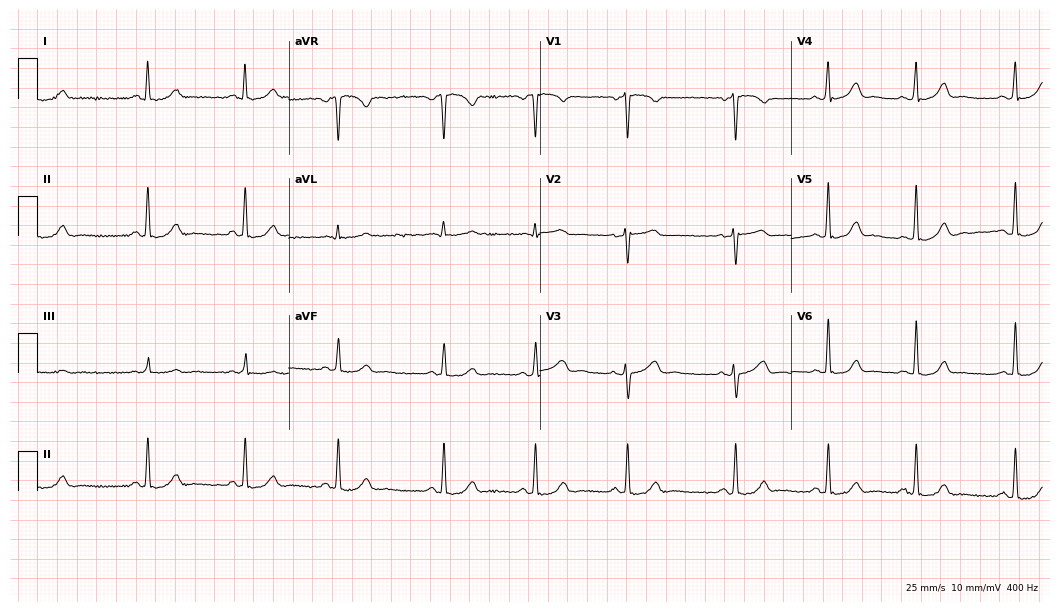
ECG (10.2-second recording at 400 Hz) — a 40-year-old female. Labelled as a normal ECG.